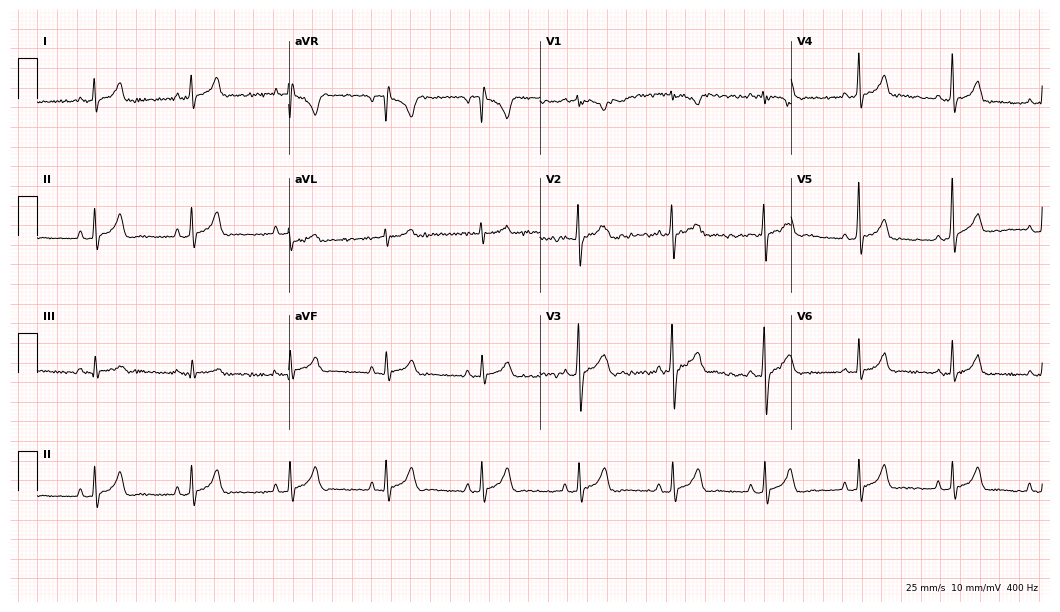
Standard 12-lead ECG recorded from a male, 17 years old (10.2-second recording at 400 Hz). Read as a normal ECG.